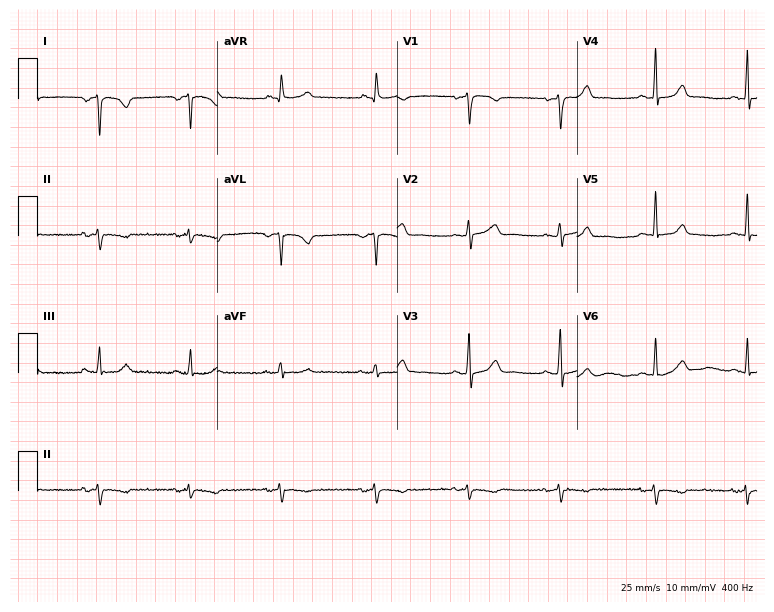
Standard 12-lead ECG recorded from a 52-year-old female. None of these six findings is recorded: first-degree AV block, right bundle branch block, left bundle branch block, sinus bradycardia, atrial fibrillation, sinus tachycardia. Only these six findings were labelled.